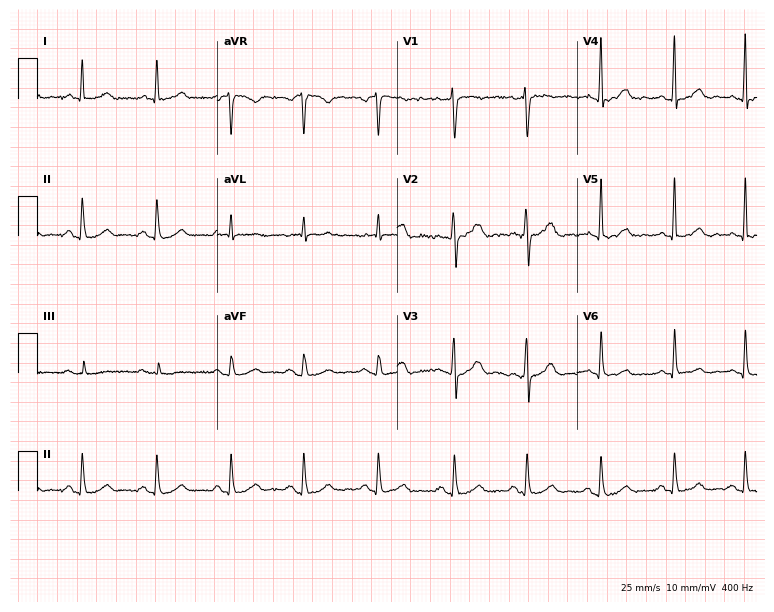
12-lead ECG from a female patient, 37 years old. No first-degree AV block, right bundle branch block (RBBB), left bundle branch block (LBBB), sinus bradycardia, atrial fibrillation (AF) or sinus tachycardia recorded for this tracing.